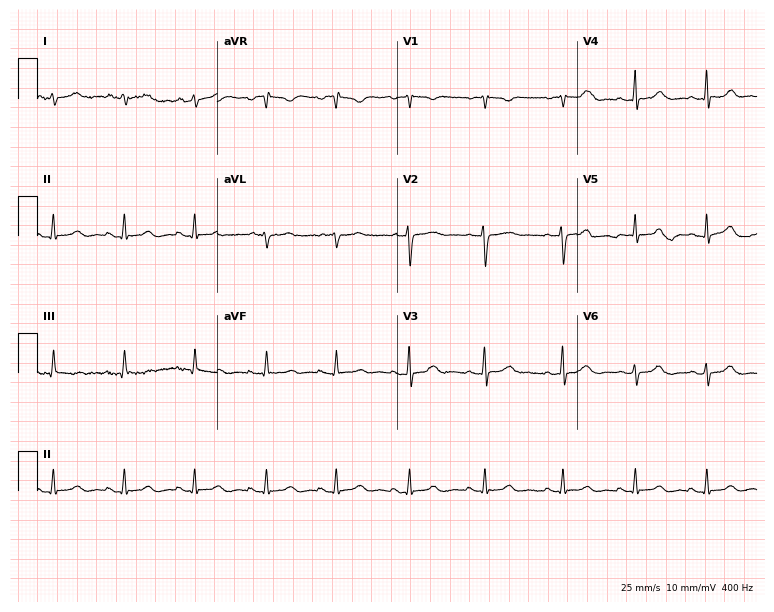
12-lead ECG (7.3-second recording at 400 Hz) from a 32-year-old female patient. Screened for six findings — first-degree AV block, right bundle branch block, left bundle branch block, sinus bradycardia, atrial fibrillation, sinus tachycardia — none is recorded.